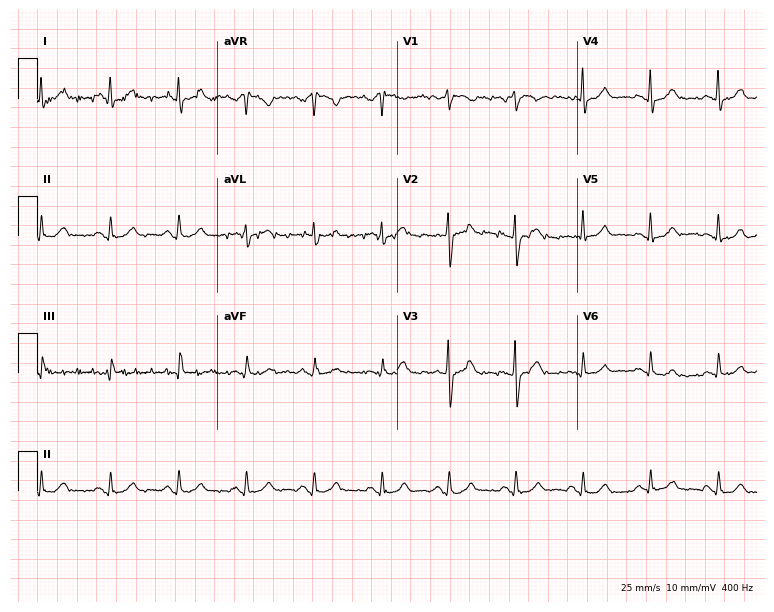
Electrocardiogram (7.3-second recording at 400 Hz), a female patient, 64 years old. Overall reading on record: normal ECG.